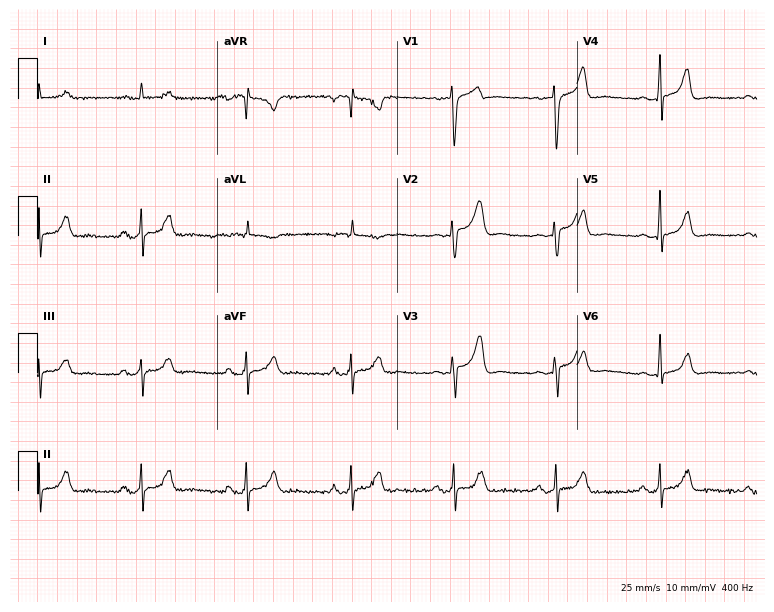
ECG (7.3-second recording at 400 Hz) — a 75-year-old man. Labelled as a normal ECG.